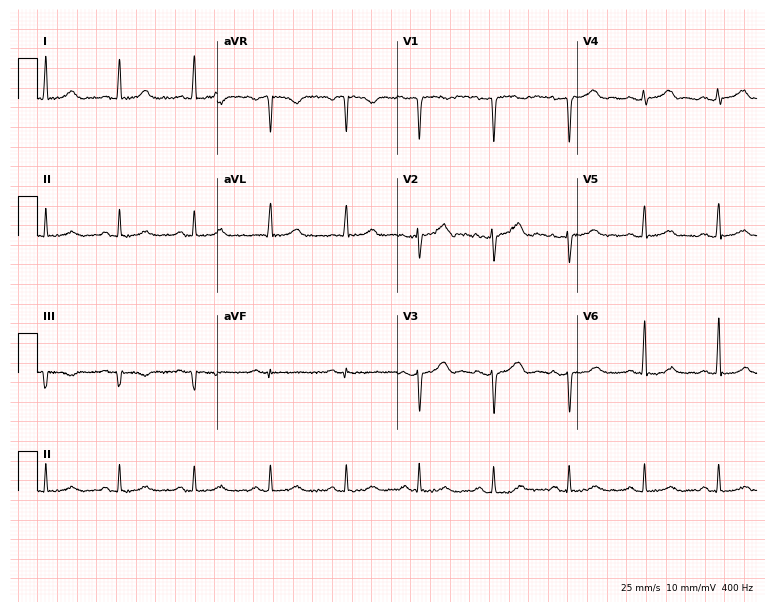
Resting 12-lead electrocardiogram. Patient: a 42-year-old woman. None of these six findings is recorded: first-degree AV block, right bundle branch block, left bundle branch block, sinus bradycardia, atrial fibrillation, sinus tachycardia. Findings outside these six are not listed.